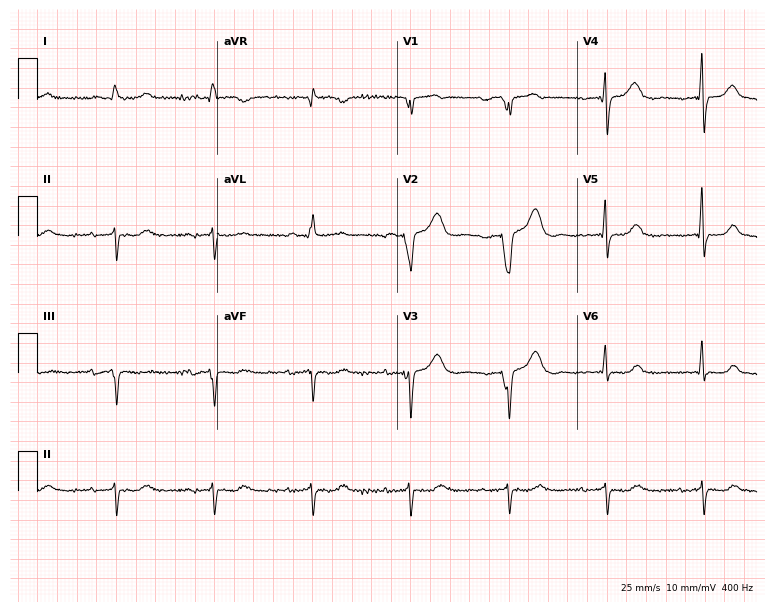
Resting 12-lead electrocardiogram (7.3-second recording at 400 Hz). Patient: a 79-year-old female. None of these six findings is recorded: first-degree AV block, right bundle branch block, left bundle branch block, sinus bradycardia, atrial fibrillation, sinus tachycardia. Other findings, if any, are not listed.